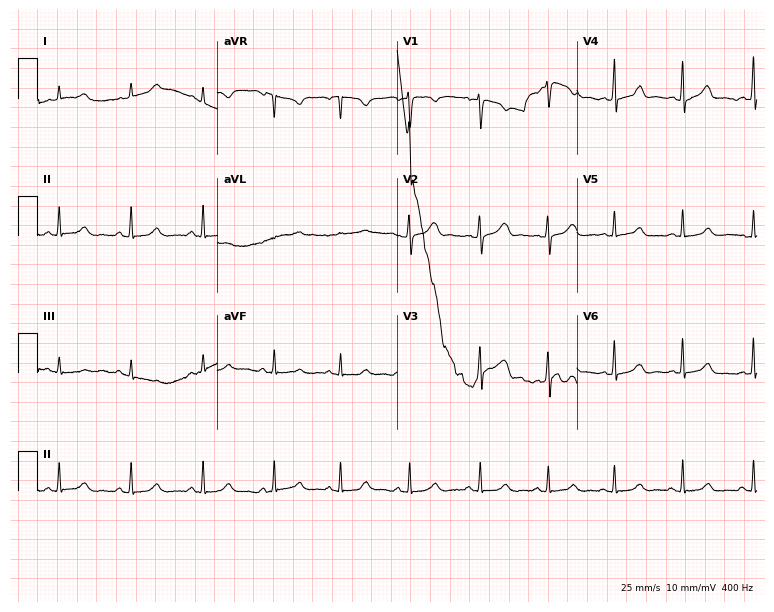
12-lead ECG from a female, 23 years old. No first-degree AV block, right bundle branch block, left bundle branch block, sinus bradycardia, atrial fibrillation or sinus tachycardia recorded for this tracing. Other findings, if any, are not listed.